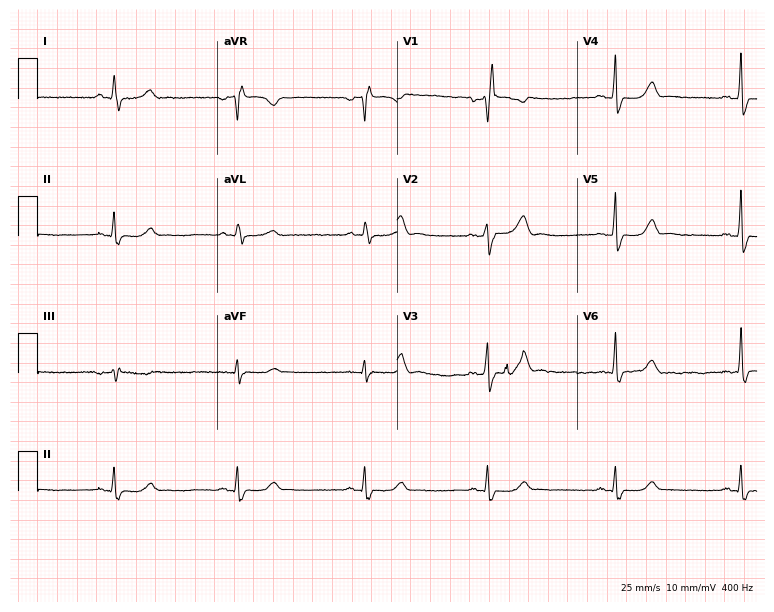
12-lead ECG from a woman, 75 years old. Shows right bundle branch block, sinus bradycardia (a sinus rate of 50 beats per minute or less).